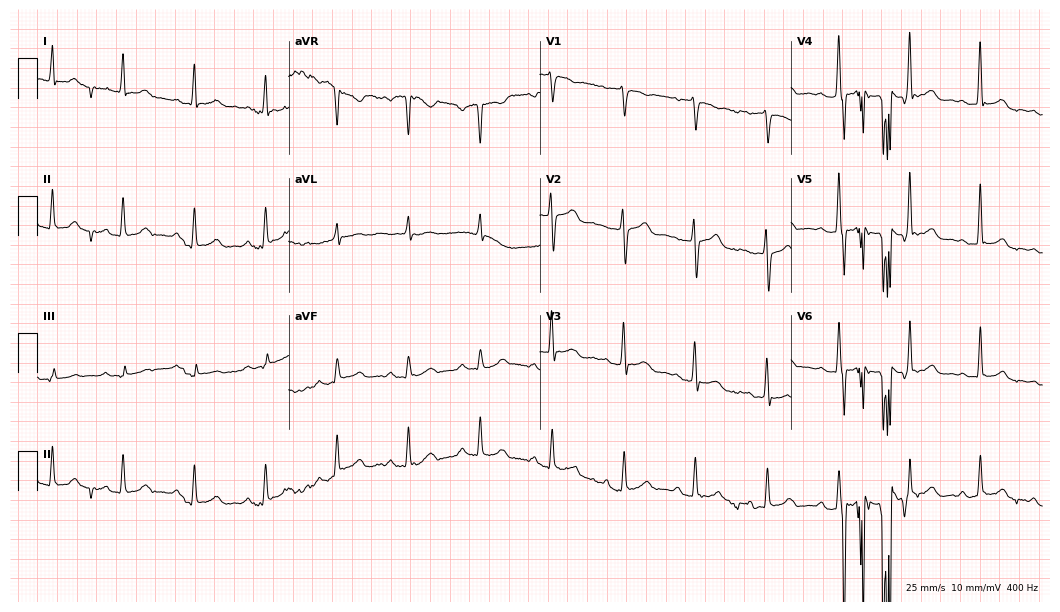
Electrocardiogram, a male patient, 44 years old. Overall reading on record: normal ECG.